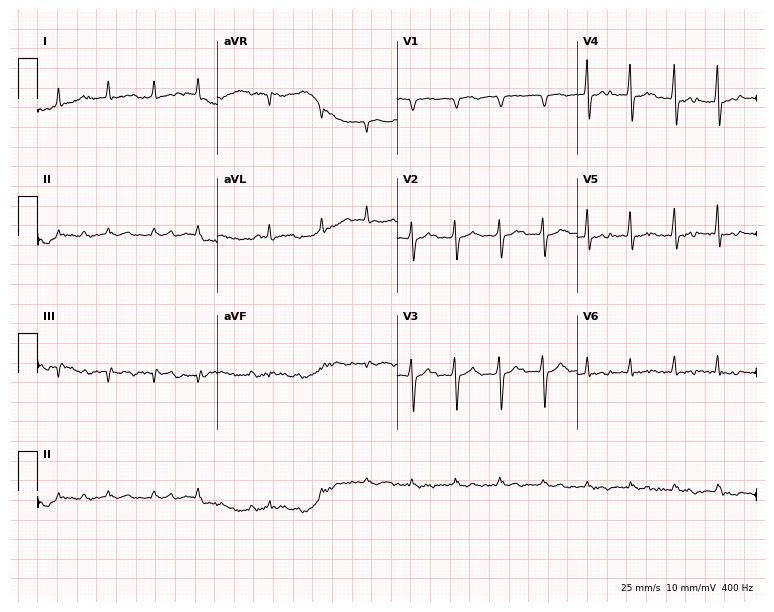
12-lead ECG from a male, 79 years old (7.3-second recording at 400 Hz). Shows sinus tachycardia (a sinus rate of 100 beats per minute or more).